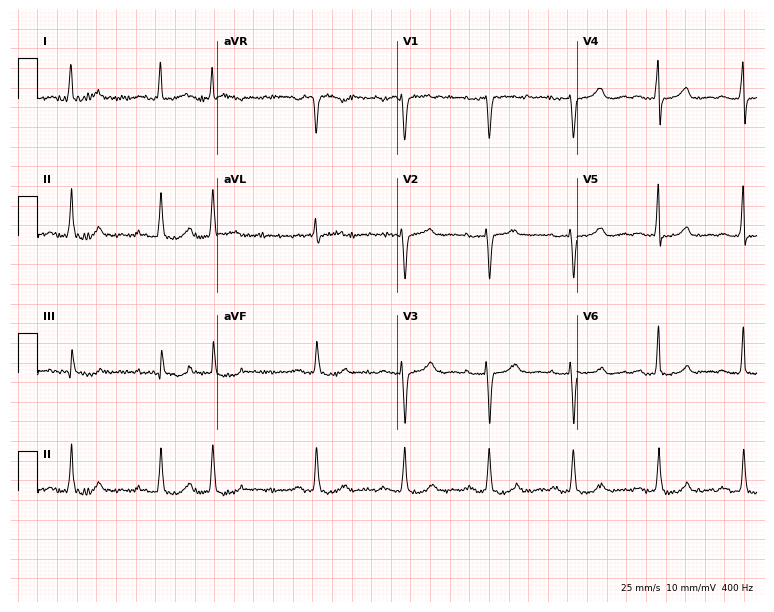
Standard 12-lead ECG recorded from a 75-year-old woman. Read as a normal ECG.